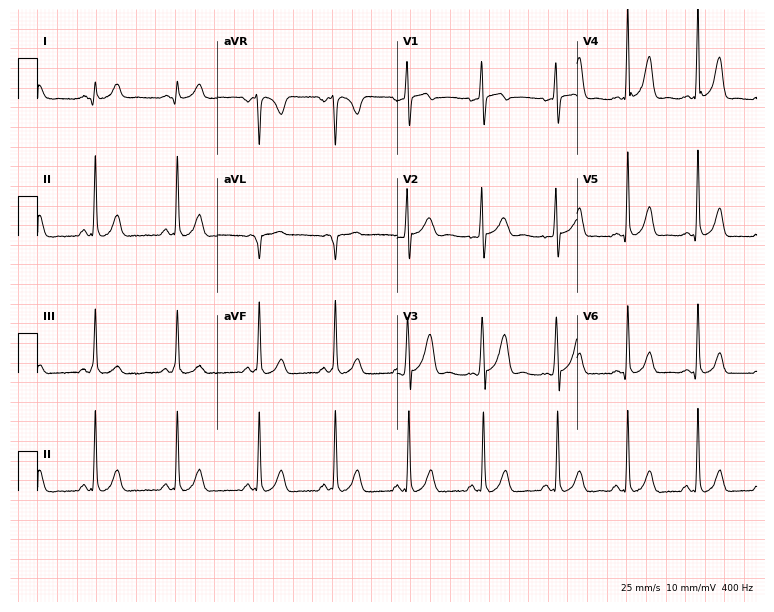
12-lead ECG from a 27-year-old man. No first-degree AV block, right bundle branch block (RBBB), left bundle branch block (LBBB), sinus bradycardia, atrial fibrillation (AF) or sinus tachycardia recorded for this tracing.